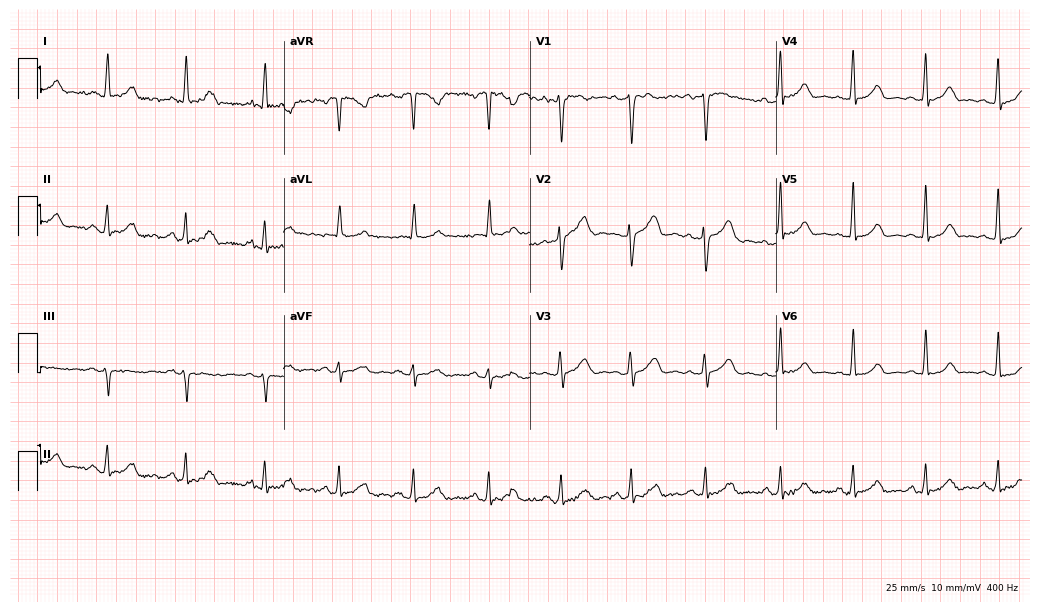
Electrocardiogram (10-second recording at 400 Hz), a 40-year-old female patient. Overall reading on record: normal ECG.